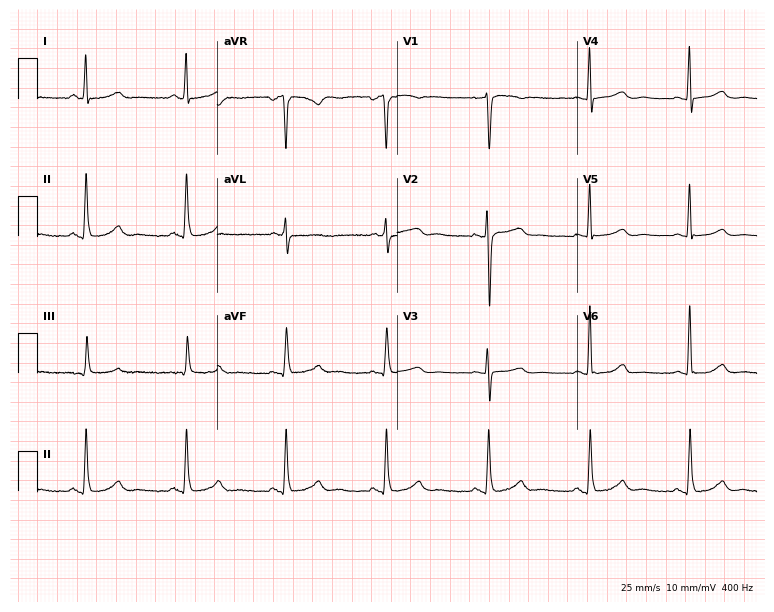
12-lead ECG (7.3-second recording at 400 Hz) from a female patient, 74 years old. Screened for six findings — first-degree AV block, right bundle branch block, left bundle branch block, sinus bradycardia, atrial fibrillation, sinus tachycardia — none is recorded.